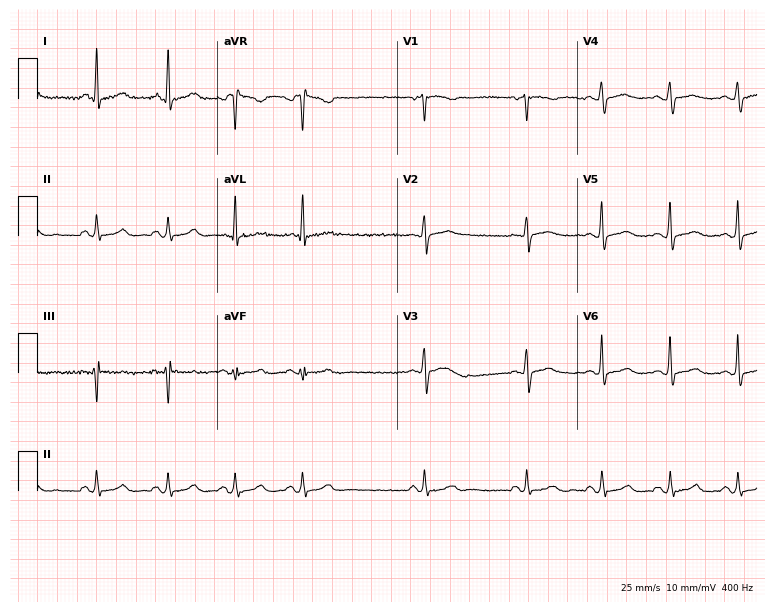
ECG (7.3-second recording at 400 Hz) — a 37-year-old female patient. Screened for six findings — first-degree AV block, right bundle branch block, left bundle branch block, sinus bradycardia, atrial fibrillation, sinus tachycardia — none is recorded.